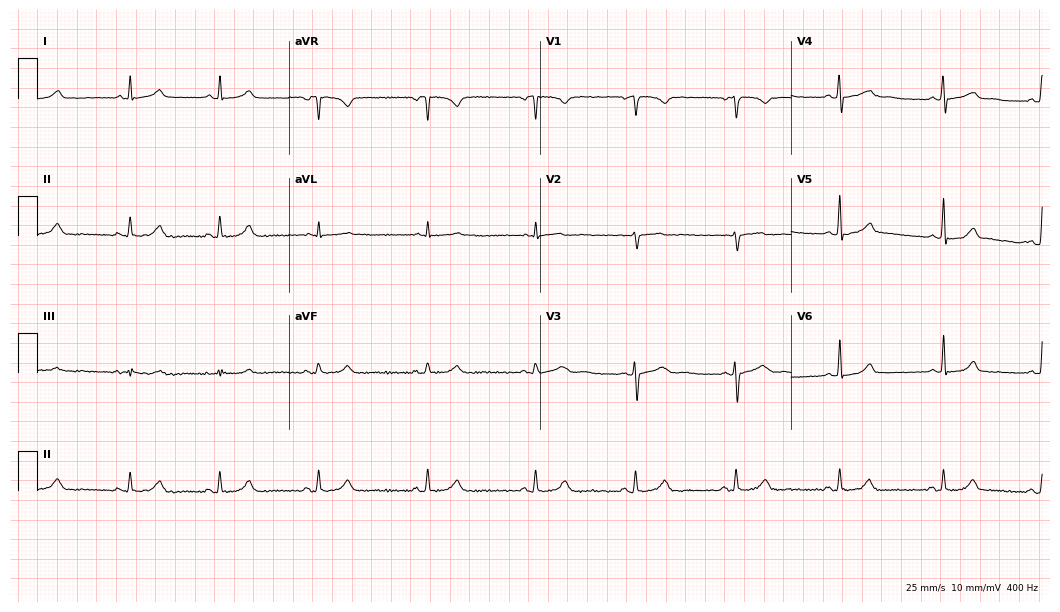
12-lead ECG from a 30-year-old female. Labelled as a normal ECG.